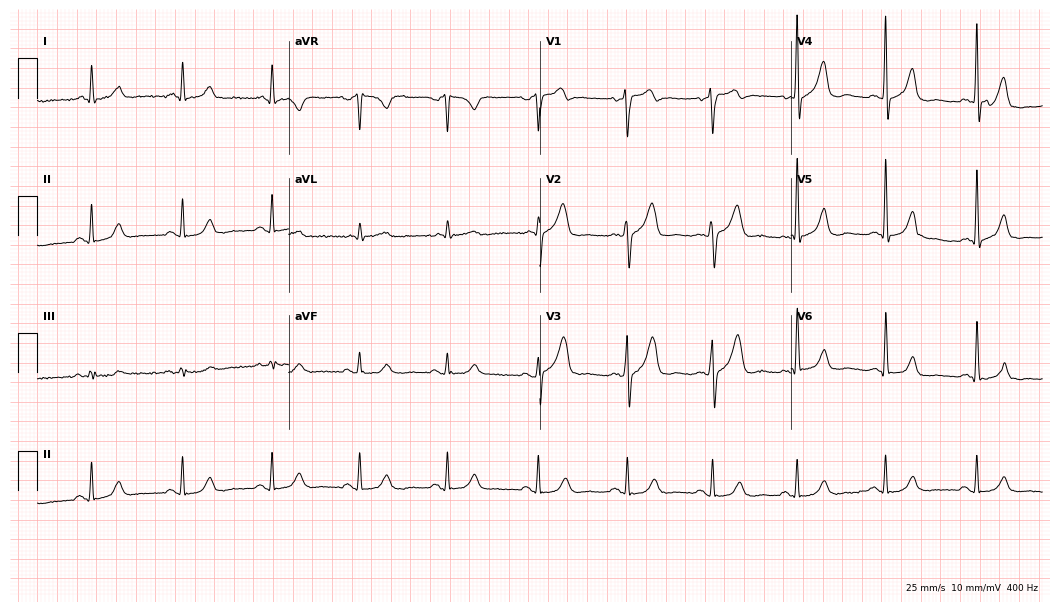
12-lead ECG (10.2-second recording at 400 Hz) from a man, 50 years old. Screened for six findings — first-degree AV block, right bundle branch block (RBBB), left bundle branch block (LBBB), sinus bradycardia, atrial fibrillation (AF), sinus tachycardia — none is recorded.